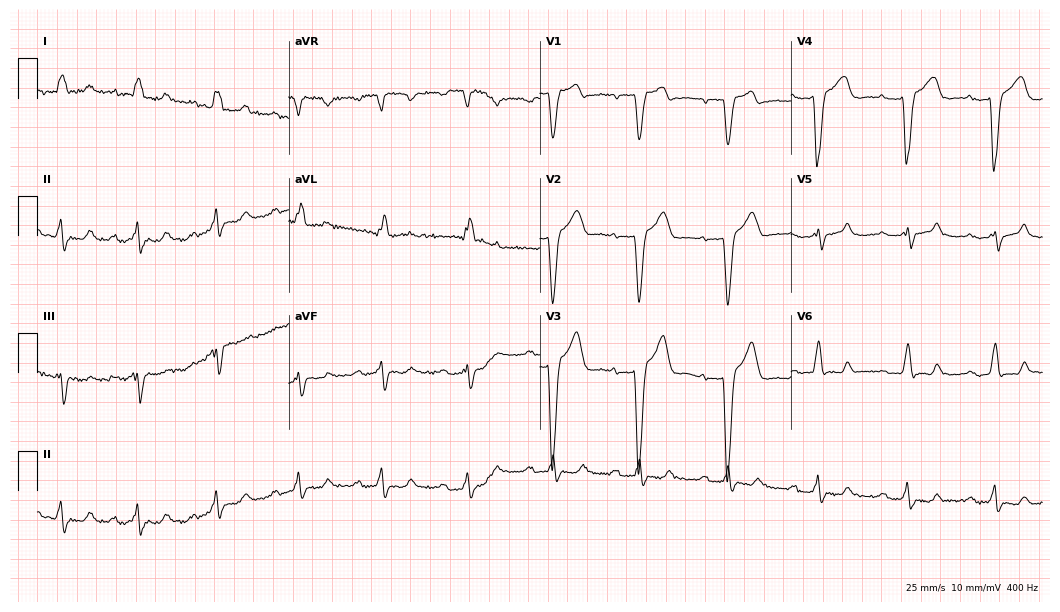
Electrocardiogram, a 53-year-old female. Interpretation includes left bundle branch block (LBBB).